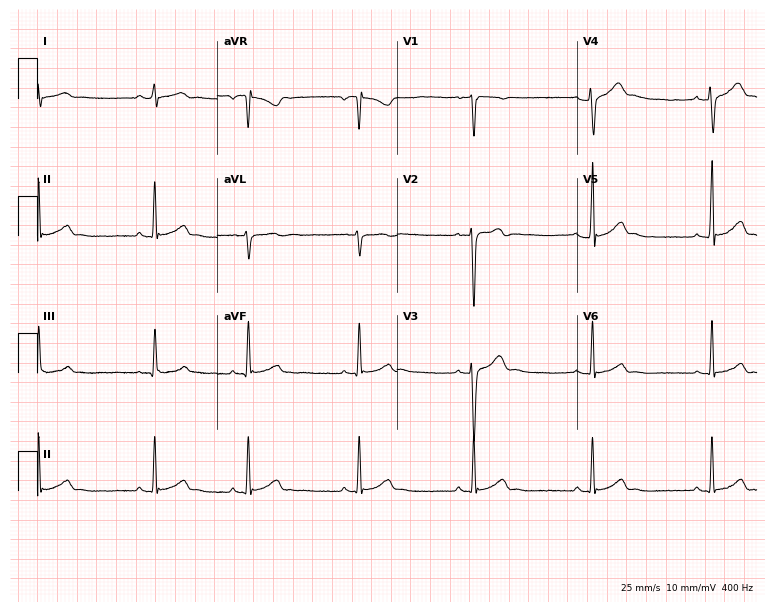
12-lead ECG from a male patient, 17 years old. No first-degree AV block, right bundle branch block, left bundle branch block, sinus bradycardia, atrial fibrillation or sinus tachycardia recorded for this tracing. Other findings, if any, are not listed.